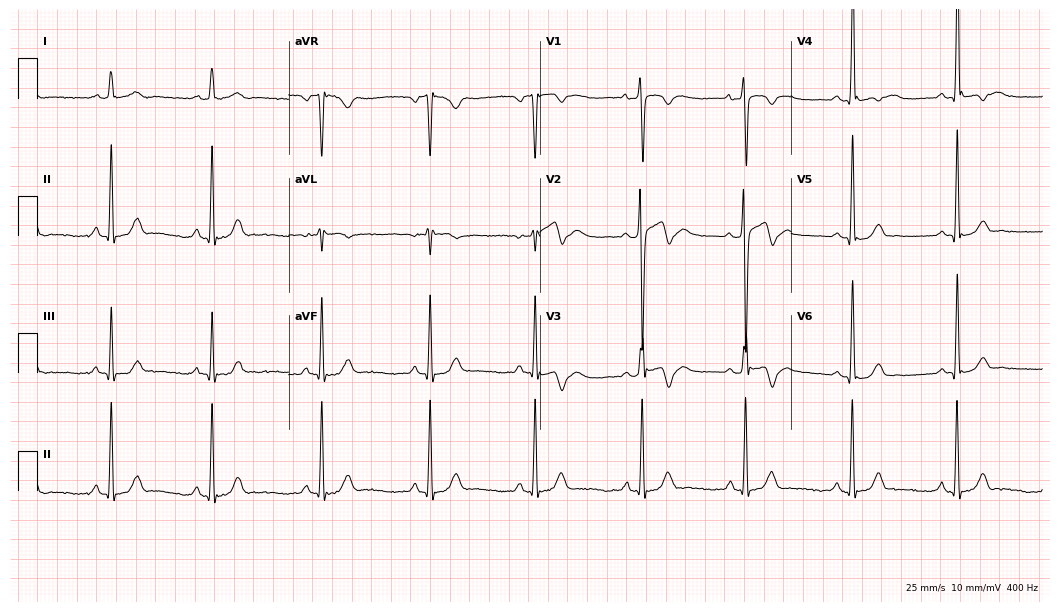
12-lead ECG from a man, 24 years old (10.2-second recording at 400 Hz). No first-degree AV block, right bundle branch block, left bundle branch block, sinus bradycardia, atrial fibrillation or sinus tachycardia recorded for this tracing. Findings outside these six are not listed.